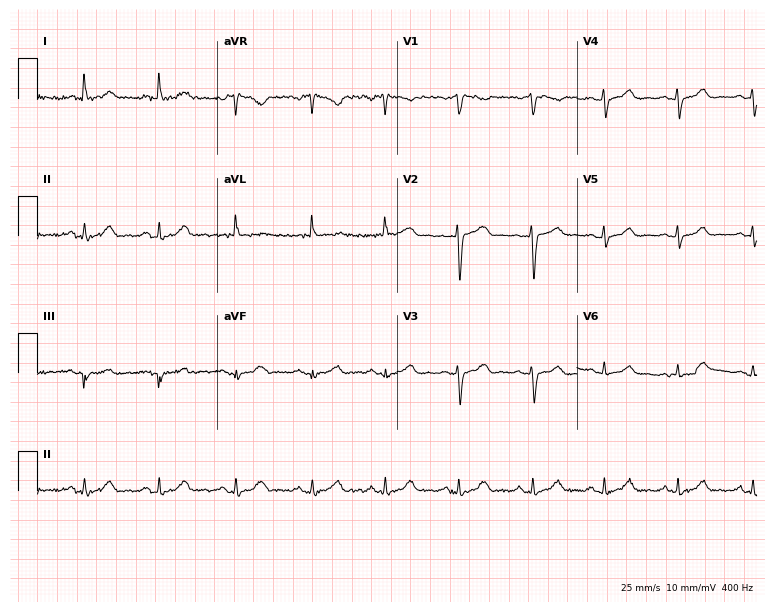
12-lead ECG from a female patient, 41 years old (7.3-second recording at 400 Hz). Recorded interpretation: within normal limits.